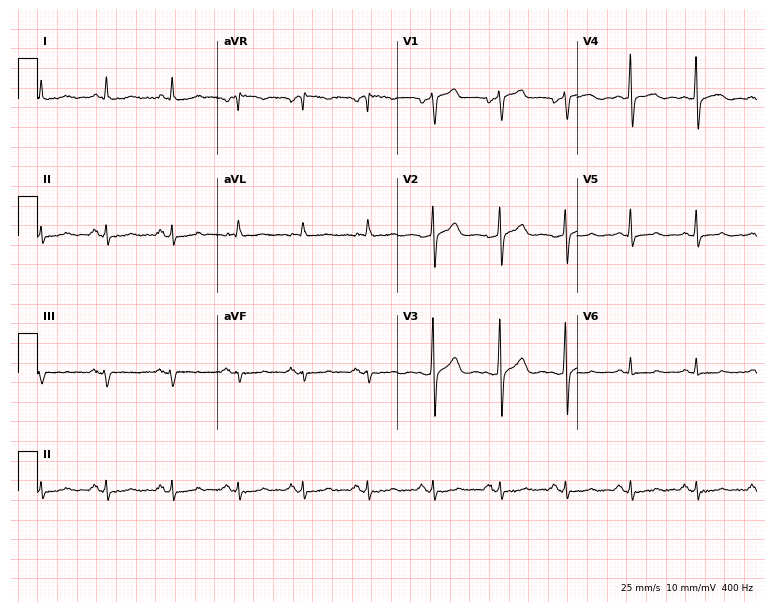
Resting 12-lead electrocardiogram (7.3-second recording at 400 Hz). Patient: a 68-year-old male. None of these six findings is recorded: first-degree AV block, right bundle branch block, left bundle branch block, sinus bradycardia, atrial fibrillation, sinus tachycardia.